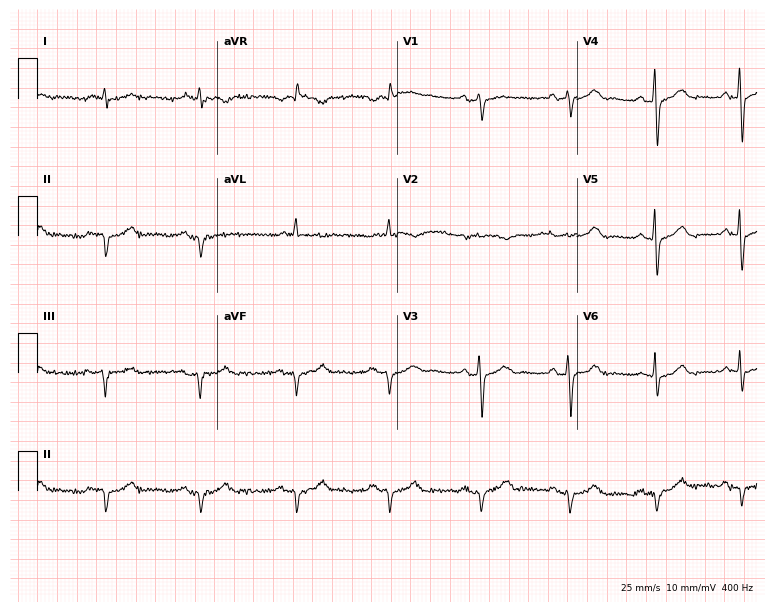
Electrocardiogram (7.3-second recording at 400 Hz), a 72-year-old male. Of the six screened findings (first-degree AV block, right bundle branch block (RBBB), left bundle branch block (LBBB), sinus bradycardia, atrial fibrillation (AF), sinus tachycardia), none is recorded.